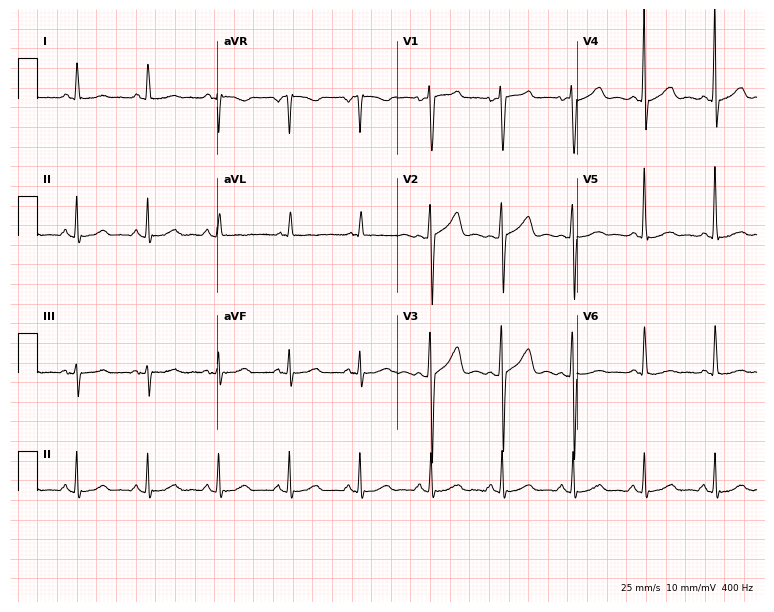
Electrocardiogram, a female patient, 72 years old. Of the six screened findings (first-degree AV block, right bundle branch block, left bundle branch block, sinus bradycardia, atrial fibrillation, sinus tachycardia), none is recorded.